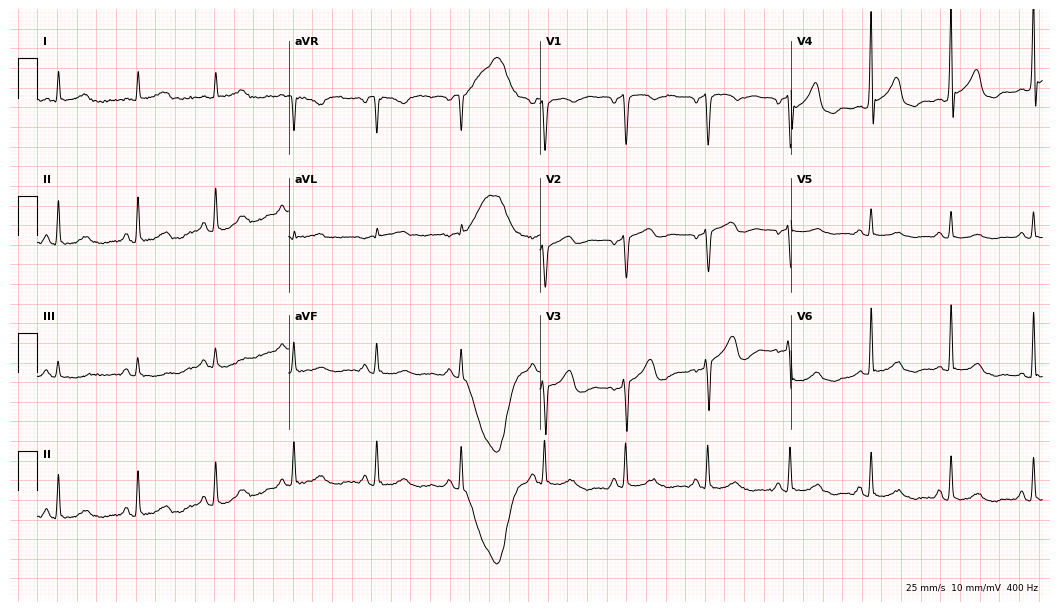
Resting 12-lead electrocardiogram. Patient: a 79-year-old male. None of these six findings is recorded: first-degree AV block, right bundle branch block, left bundle branch block, sinus bradycardia, atrial fibrillation, sinus tachycardia. Findings outside these six are not listed.